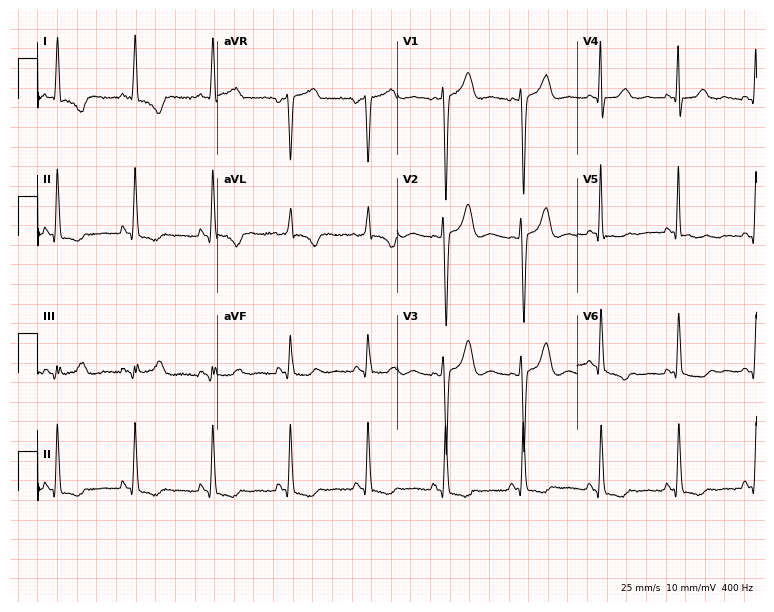
Standard 12-lead ECG recorded from a female patient, 41 years old (7.3-second recording at 400 Hz). None of these six findings is recorded: first-degree AV block, right bundle branch block, left bundle branch block, sinus bradycardia, atrial fibrillation, sinus tachycardia.